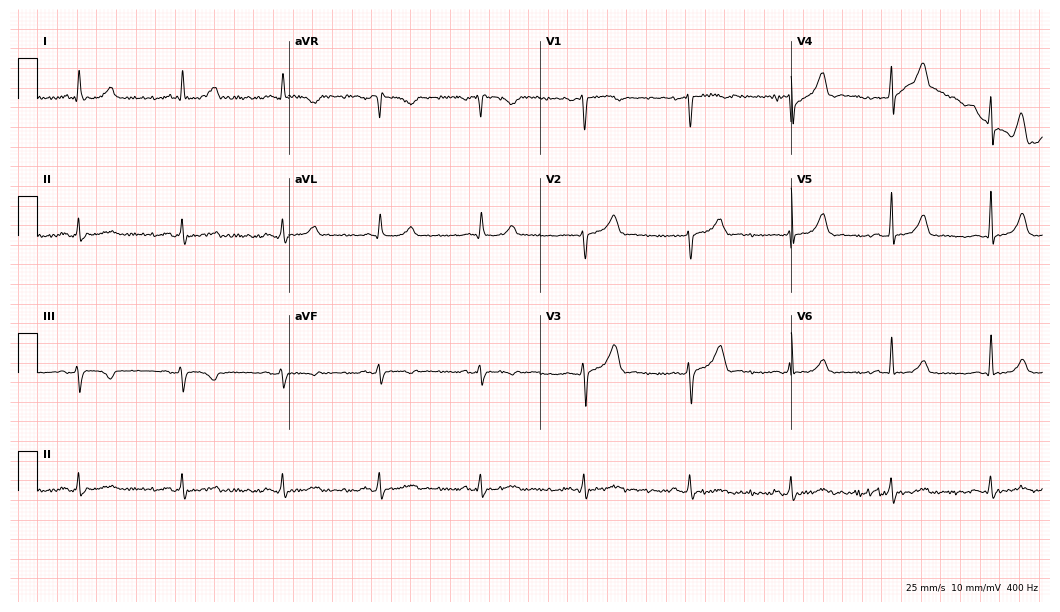
ECG — a 52-year-old man. Screened for six findings — first-degree AV block, right bundle branch block, left bundle branch block, sinus bradycardia, atrial fibrillation, sinus tachycardia — none is recorded. Findings outside these six are not listed.